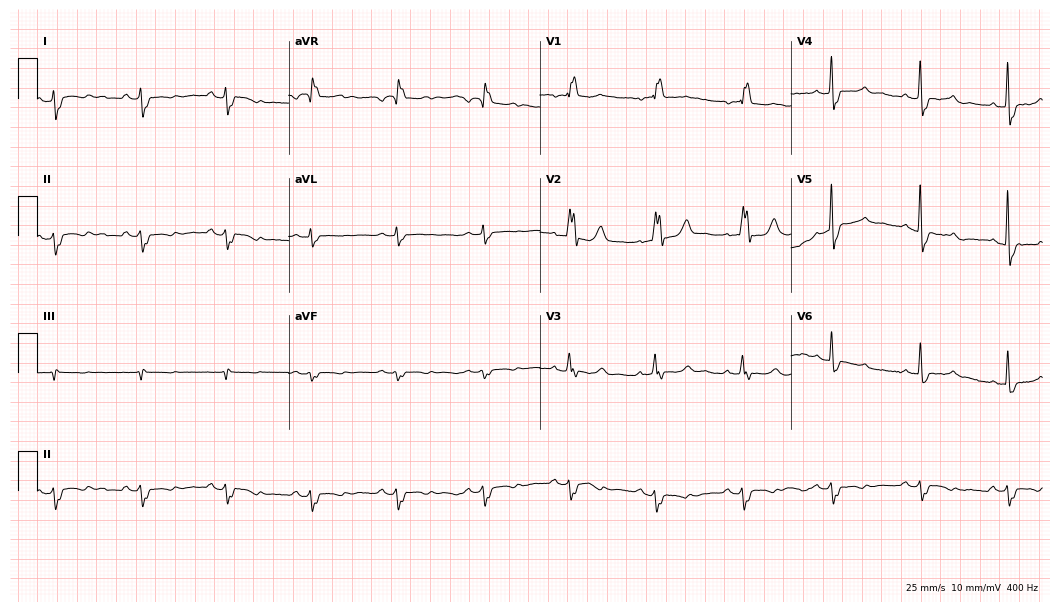
ECG (10.2-second recording at 400 Hz) — a female, 60 years old. Screened for six findings — first-degree AV block, right bundle branch block, left bundle branch block, sinus bradycardia, atrial fibrillation, sinus tachycardia — none is recorded.